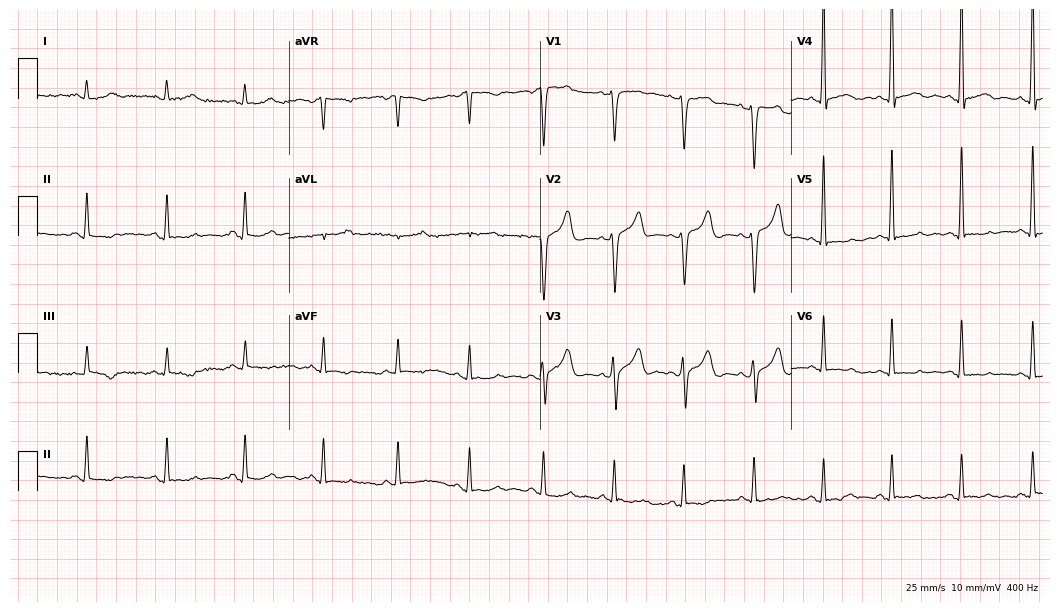
ECG — a 38-year-old male patient. Screened for six findings — first-degree AV block, right bundle branch block, left bundle branch block, sinus bradycardia, atrial fibrillation, sinus tachycardia — none is recorded. Findings outside these six are not listed.